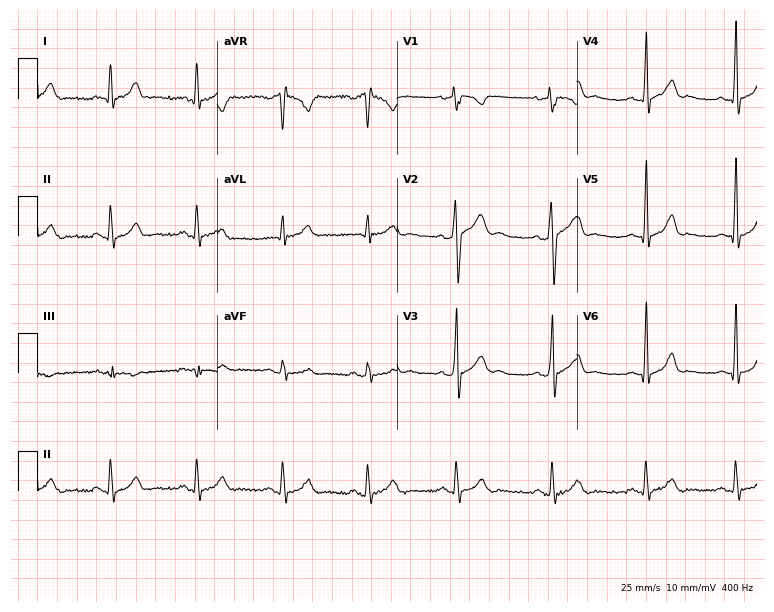
12-lead ECG from a male, 33 years old (7.3-second recording at 400 Hz). Recorded interpretation: within normal limits.